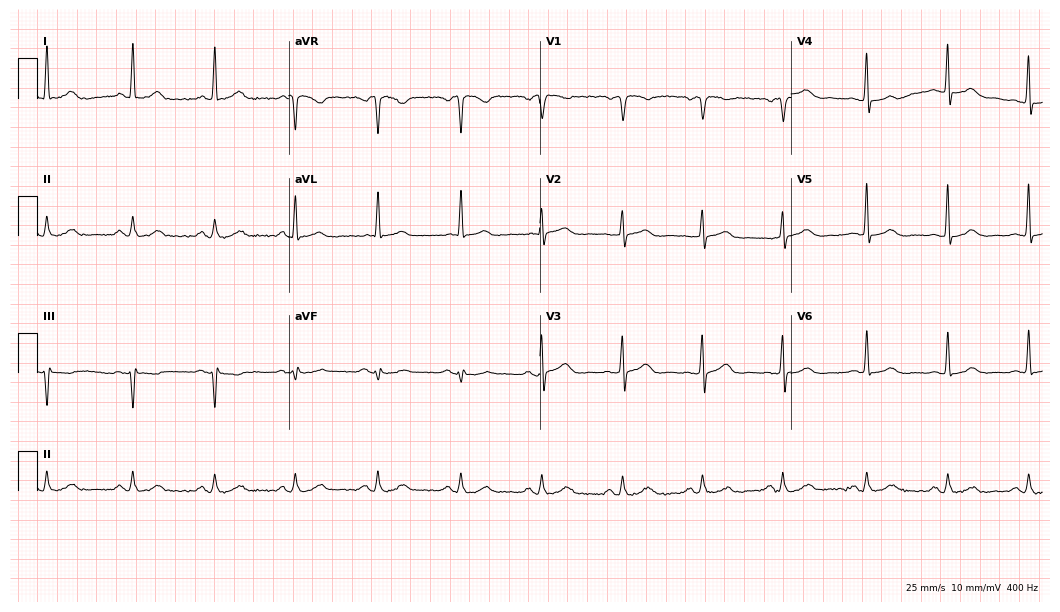
12-lead ECG (10.2-second recording at 400 Hz) from a female, 70 years old. Labelled as a normal ECG.